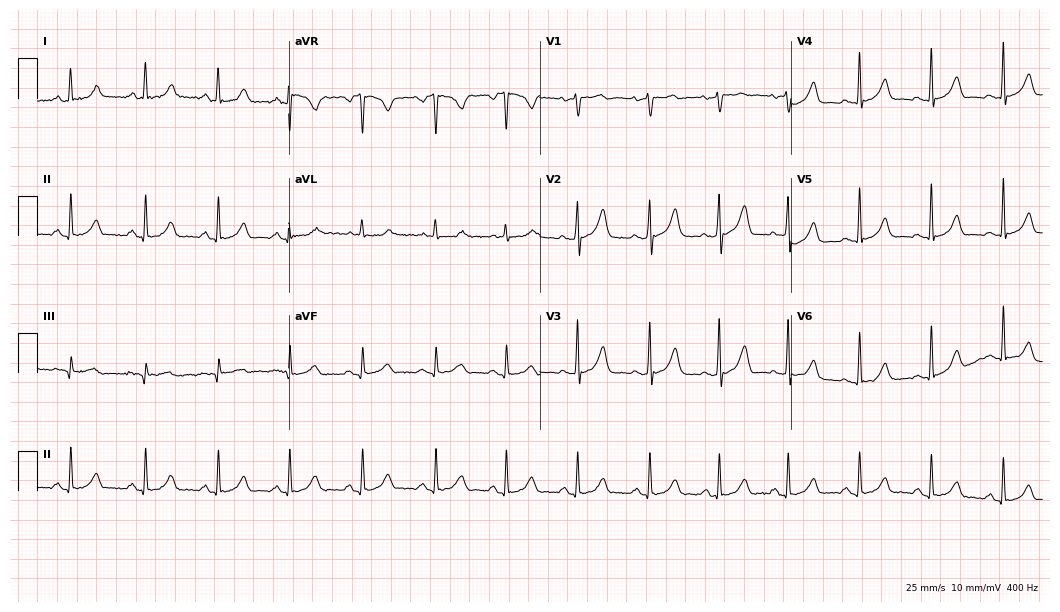
12-lead ECG (10.2-second recording at 400 Hz) from a 34-year-old female patient. Labelled as a normal ECG.